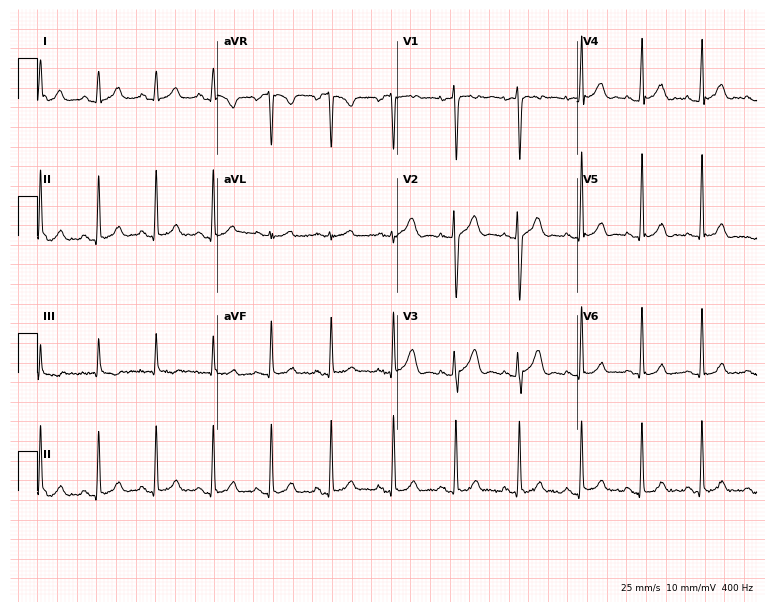
12-lead ECG from a female, 25 years old. Recorded interpretation: within normal limits.